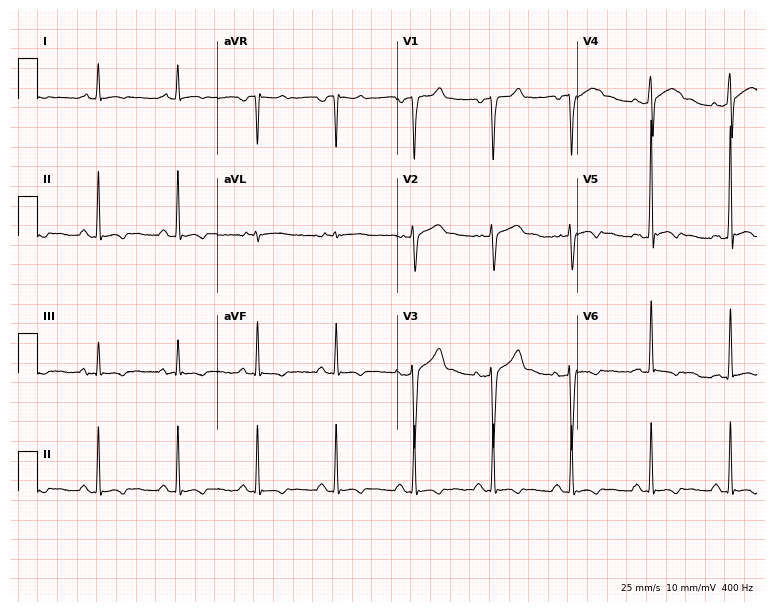
Standard 12-lead ECG recorded from a 42-year-old male (7.3-second recording at 400 Hz). None of these six findings is recorded: first-degree AV block, right bundle branch block (RBBB), left bundle branch block (LBBB), sinus bradycardia, atrial fibrillation (AF), sinus tachycardia. Only these six findings were labelled.